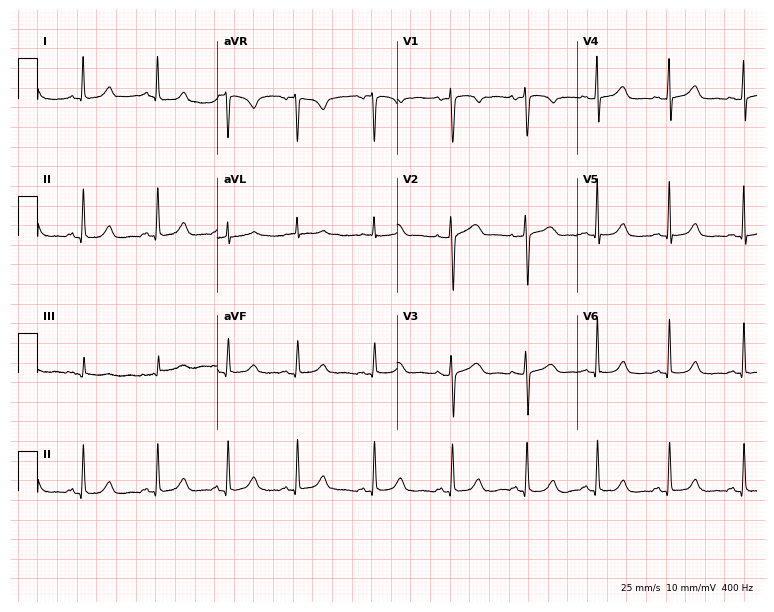
ECG — a female patient, 47 years old. Labelled as a normal ECG.